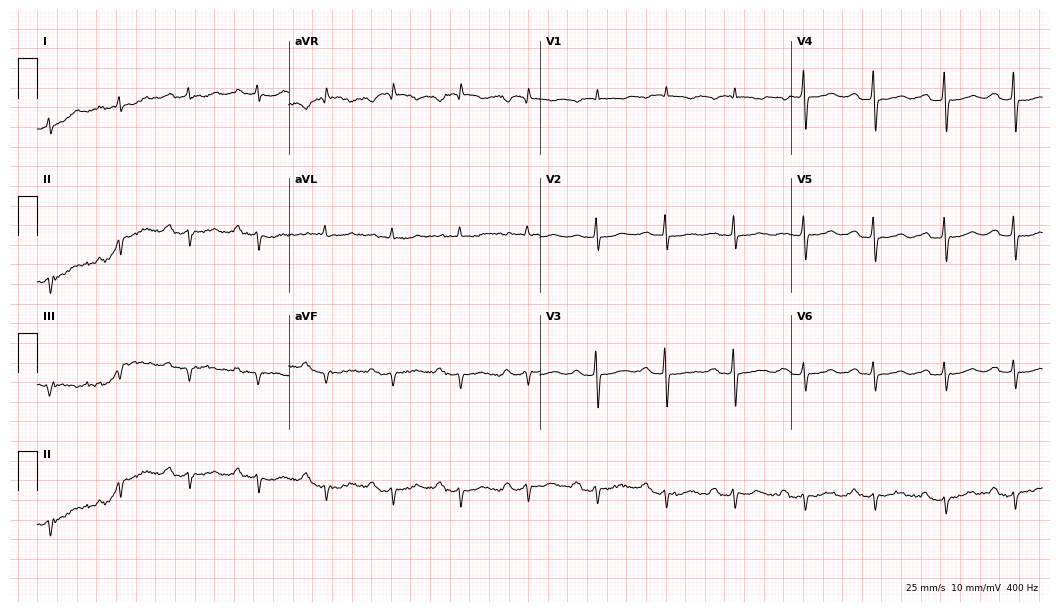
12-lead ECG from a 78-year-old woman (10.2-second recording at 400 Hz). No first-degree AV block, right bundle branch block, left bundle branch block, sinus bradycardia, atrial fibrillation or sinus tachycardia recorded for this tracing.